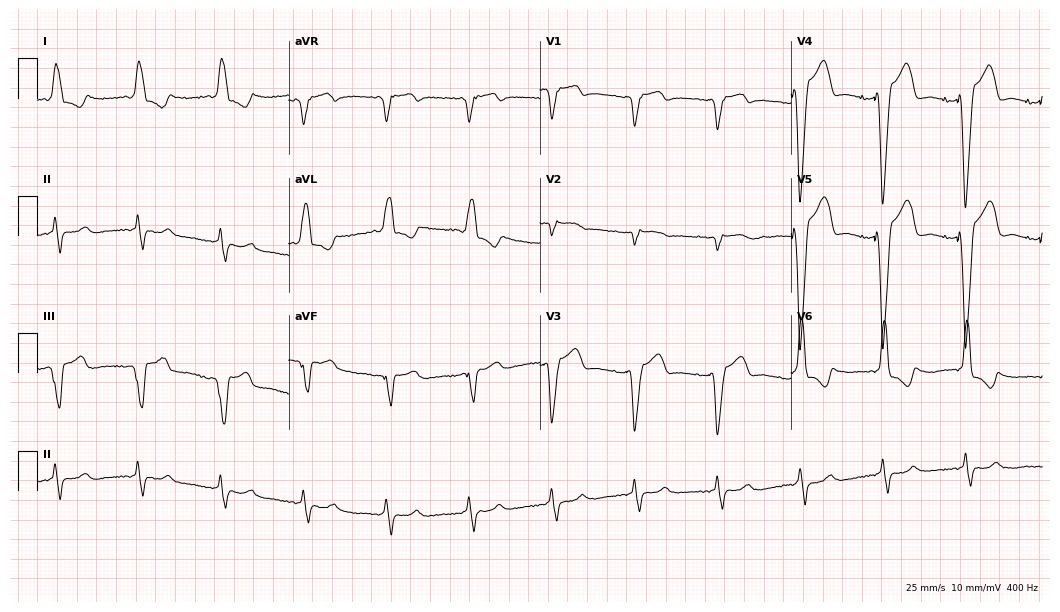
12-lead ECG from a 71-year-old female (10.2-second recording at 400 Hz). Shows left bundle branch block (LBBB).